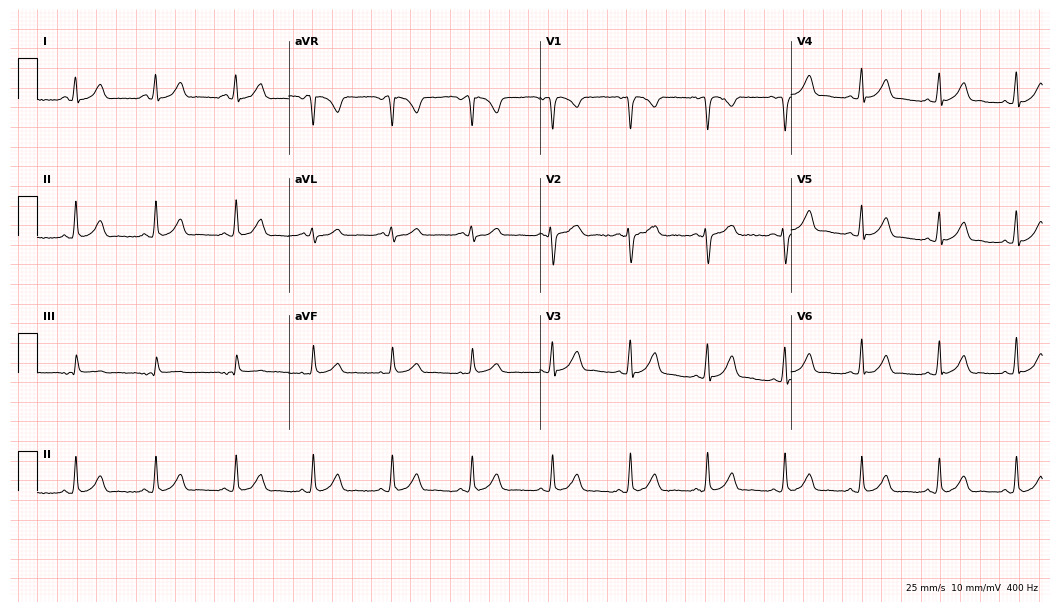
12-lead ECG from a female, 22 years old (10.2-second recording at 400 Hz). Recorded interpretation: within normal limits.